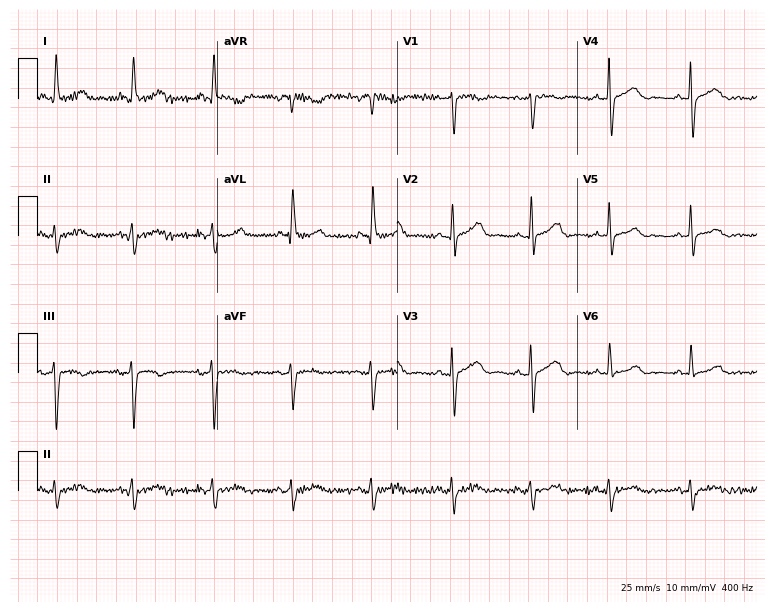
Standard 12-lead ECG recorded from a female patient, 65 years old. None of these six findings is recorded: first-degree AV block, right bundle branch block (RBBB), left bundle branch block (LBBB), sinus bradycardia, atrial fibrillation (AF), sinus tachycardia.